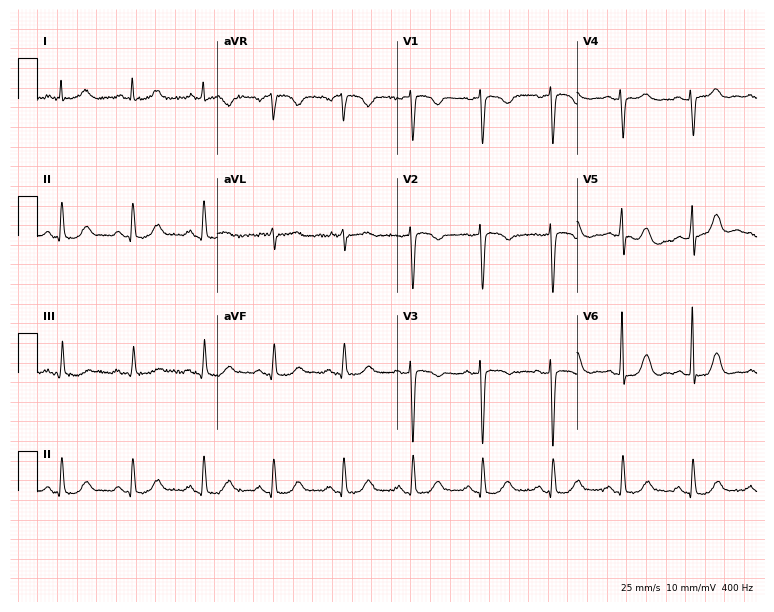
12-lead ECG from a woman, 84 years old. Recorded interpretation: within normal limits.